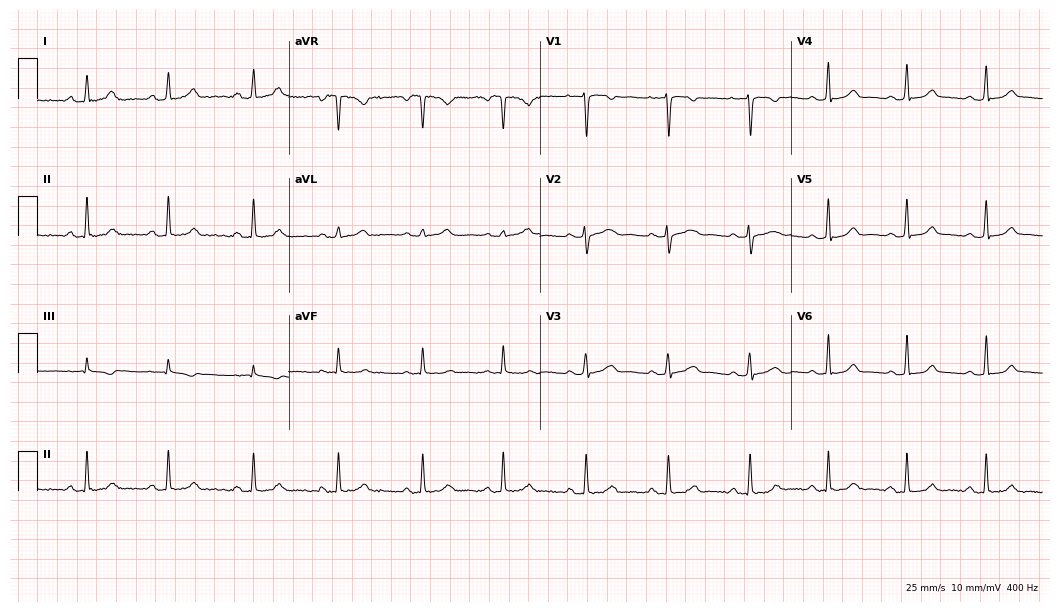
ECG — a 26-year-old female. Labelled as a normal ECG.